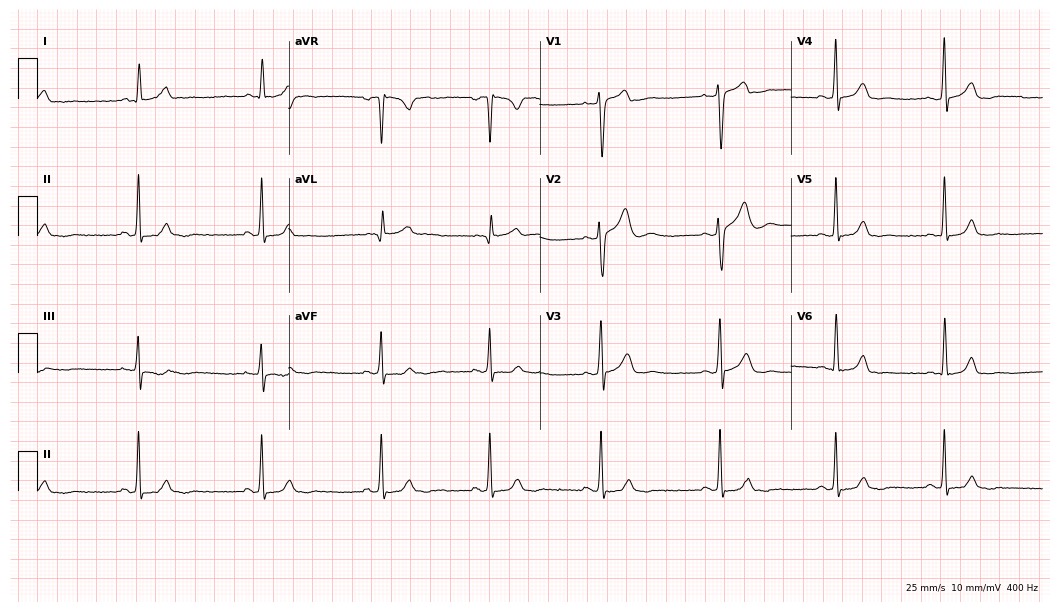
ECG — a 23-year-old male patient. Findings include sinus bradycardia (a sinus rate of 50 beats per minute or less).